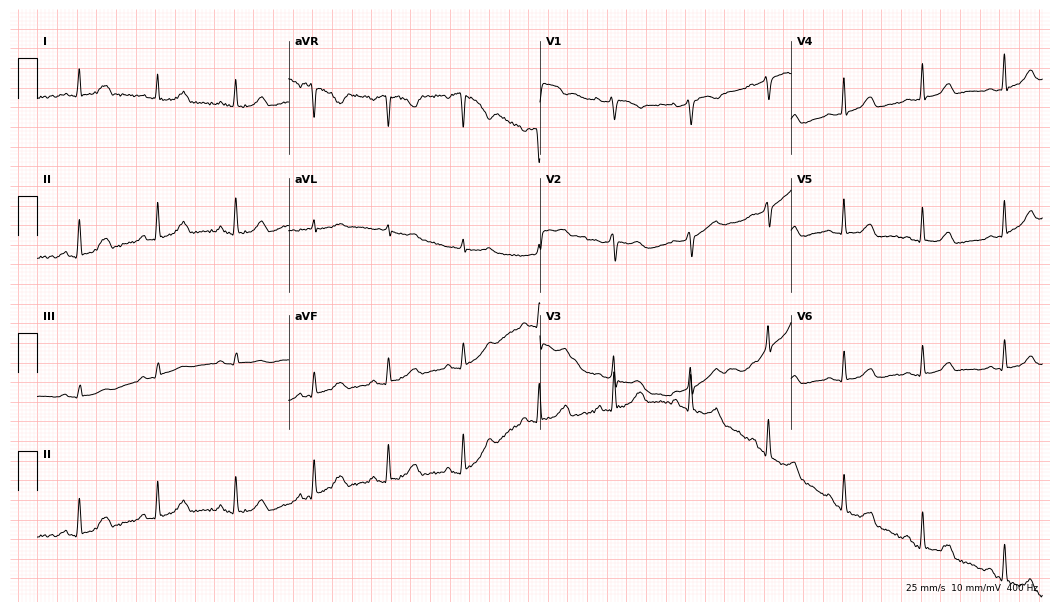
ECG (10.2-second recording at 400 Hz) — a 36-year-old woman. Labelled as a normal ECG.